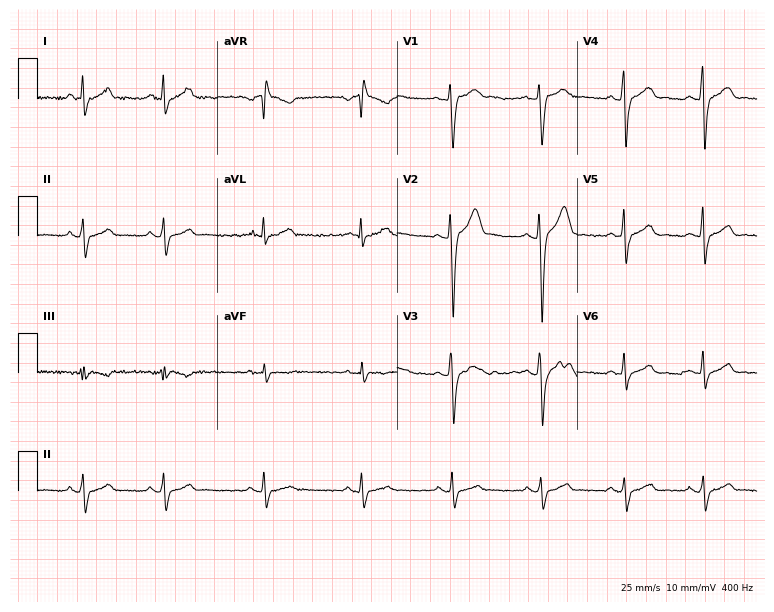
12-lead ECG (7.3-second recording at 400 Hz) from a male, 33 years old. Screened for six findings — first-degree AV block, right bundle branch block, left bundle branch block, sinus bradycardia, atrial fibrillation, sinus tachycardia — none is recorded.